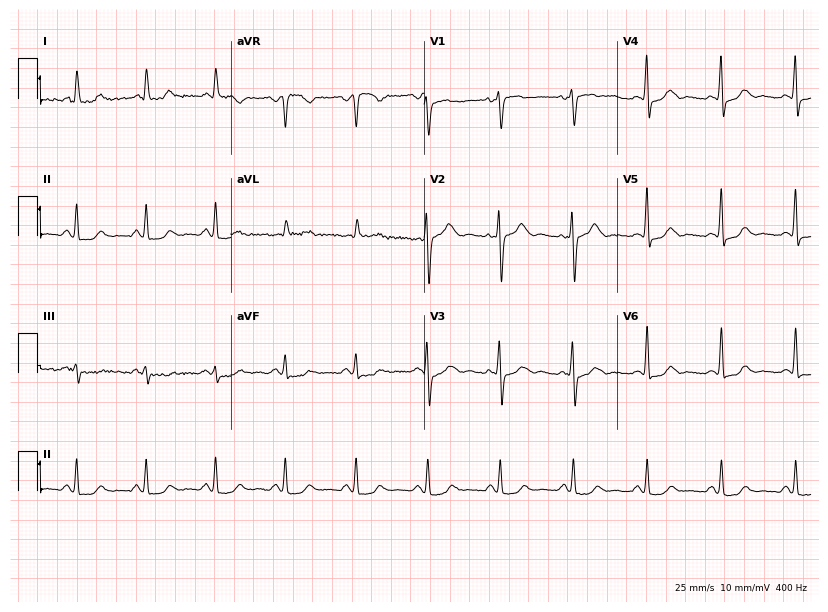
12-lead ECG from a 62-year-old female patient (7.9-second recording at 400 Hz). No first-degree AV block, right bundle branch block, left bundle branch block, sinus bradycardia, atrial fibrillation or sinus tachycardia recorded for this tracing.